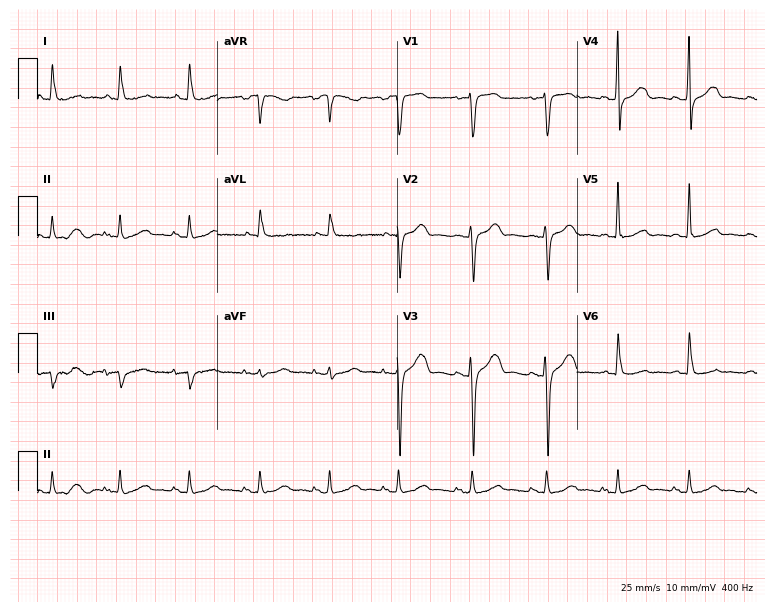
Standard 12-lead ECG recorded from a 43-year-old female (7.3-second recording at 400 Hz). None of these six findings is recorded: first-degree AV block, right bundle branch block (RBBB), left bundle branch block (LBBB), sinus bradycardia, atrial fibrillation (AF), sinus tachycardia.